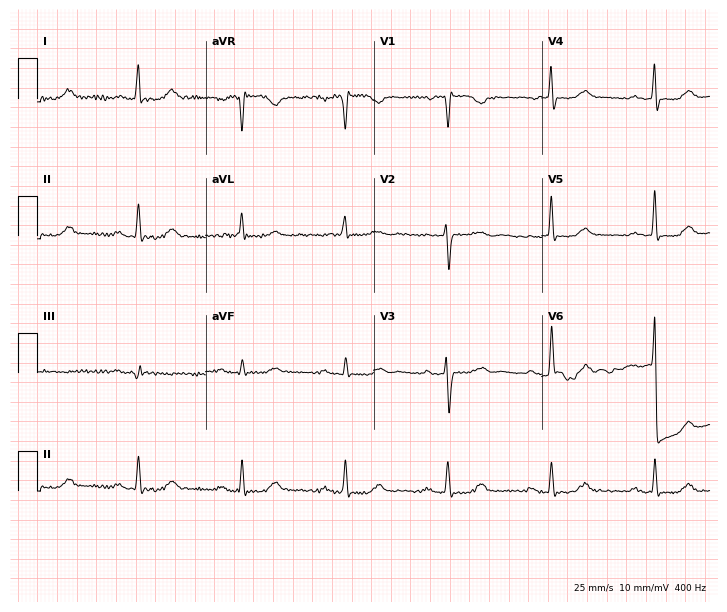
Standard 12-lead ECG recorded from a woman, 66 years old. None of these six findings is recorded: first-degree AV block, right bundle branch block, left bundle branch block, sinus bradycardia, atrial fibrillation, sinus tachycardia. Other findings, if any, are not listed.